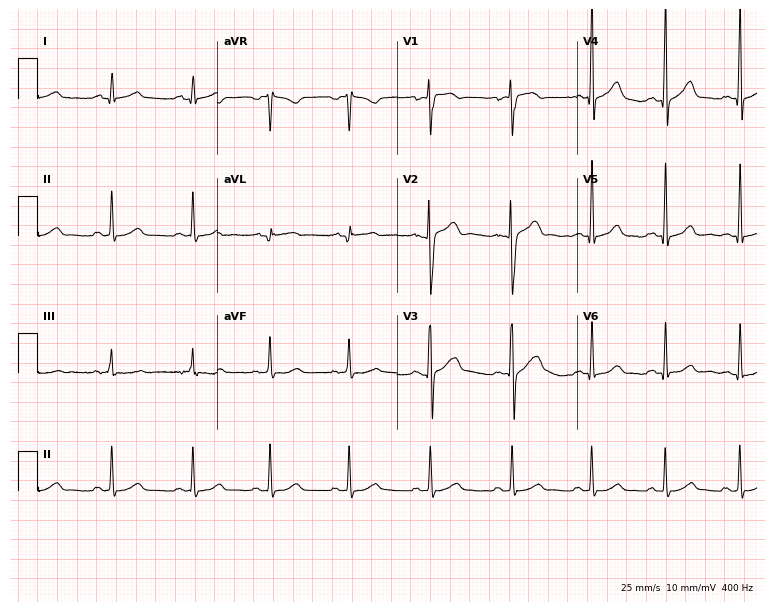
Electrocardiogram (7.3-second recording at 400 Hz), a 23-year-old male. Overall reading on record: normal ECG.